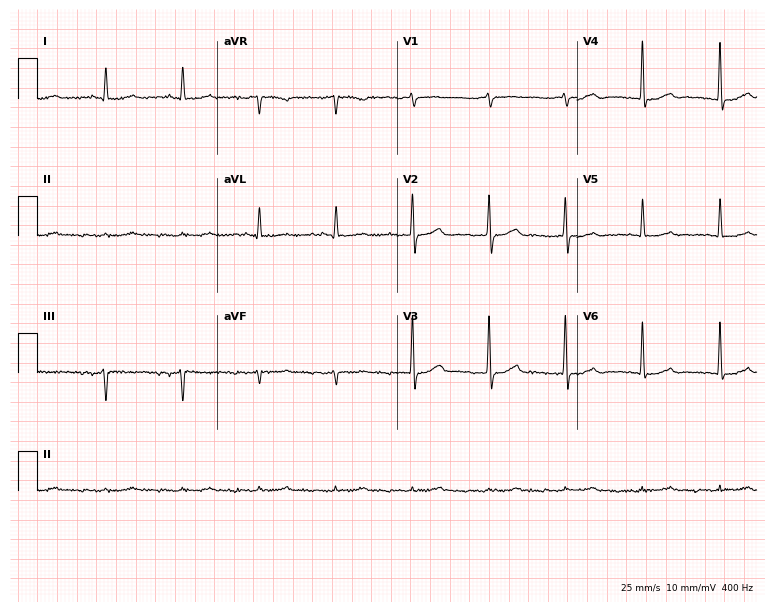
Standard 12-lead ECG recorded from a 77-year-old male (7.3-second recording at 400 Hz). None of these six findings is recorded: first-degree AV block, right bundle branch block, left bundle branch block, sinus bradycardia, atrial fibrillation, sinus tachycardia.